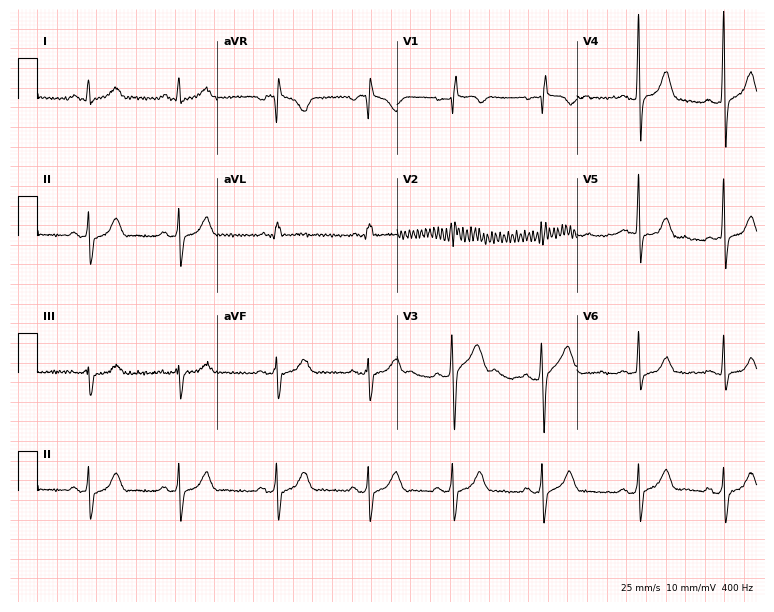
12-lead ECG (7.3-second recording at 400 Hz) from a man, 21 years old. Labelled as a normal ECG.